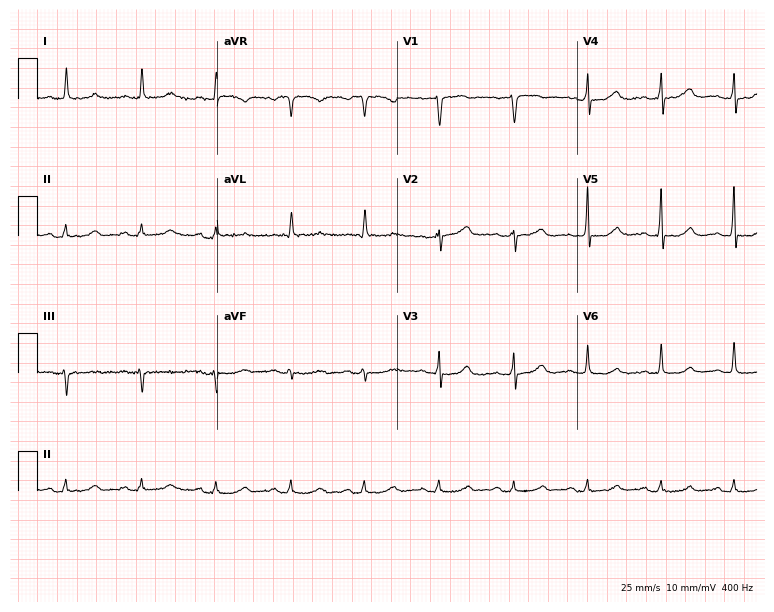
Resting 12-lead electrocardiogram. Patient: a woman, 55 years old. None of these six findings is recorded: first-degree AV block, right bundle branch block, left bundle branch block, sinus bradycardia, atrial fibrillation, sinus tachycardia. Findings outside these six are not listed.